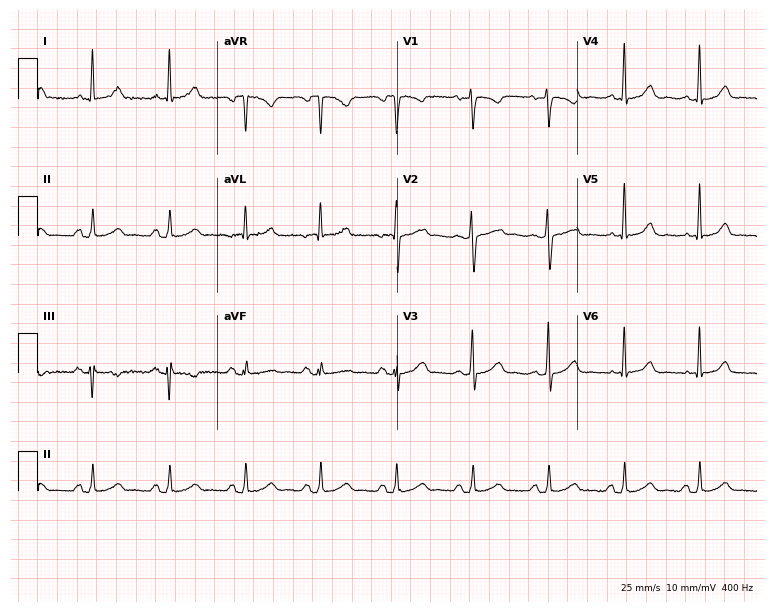
Standard 12-lead ECG recorded from a woman, 49 years old. Read as a normal ECG.